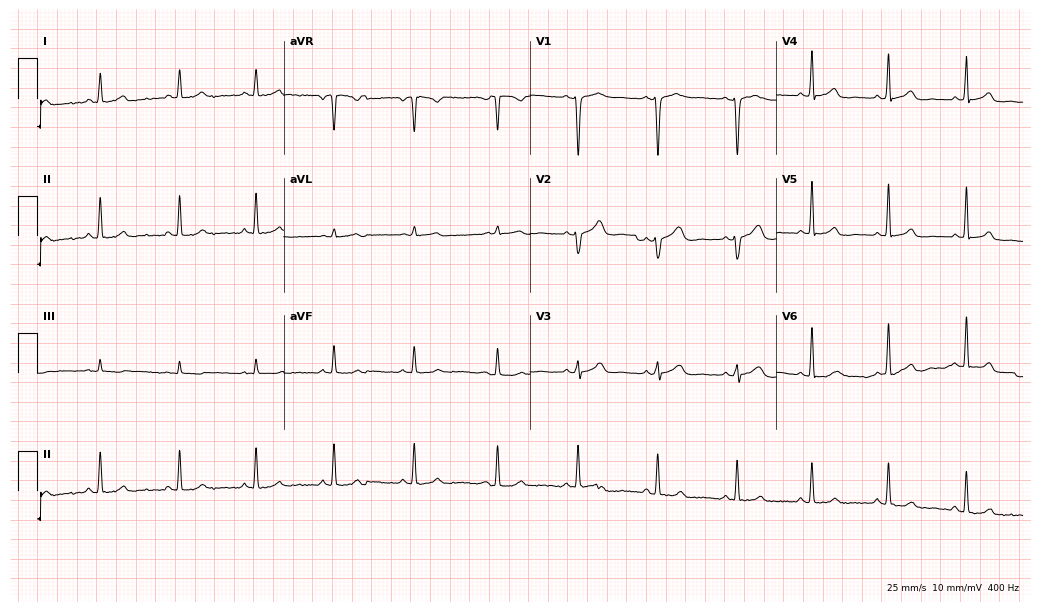
Electrocardiogram (10-second recording at 400 Hz), a 37-year-old female patient. Overall reading on record: normal ECG.